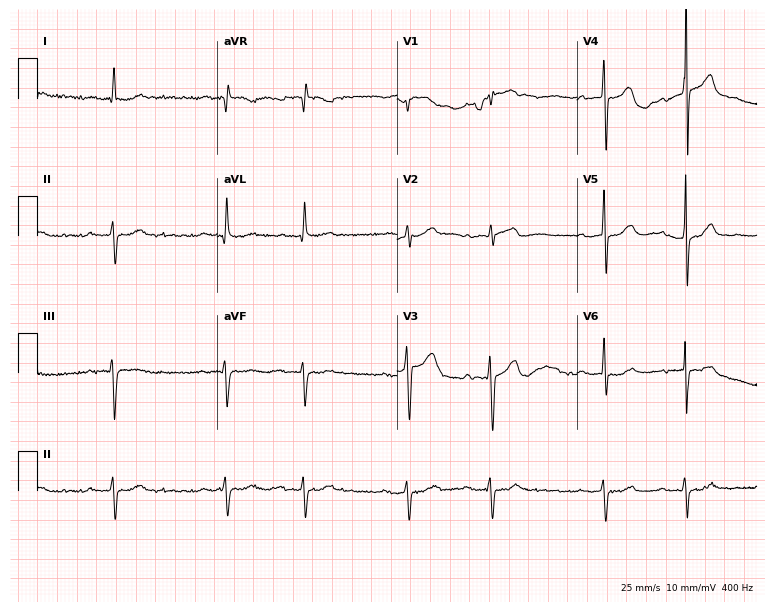
Standard 12-lead ECG recorded from a 57-year-old male. None of these six findings is recorded: first-degree AV block, right bundle branch block, left bundle branch block, sinus bradycardia, atrial fibrillation, sinus tachycardia.